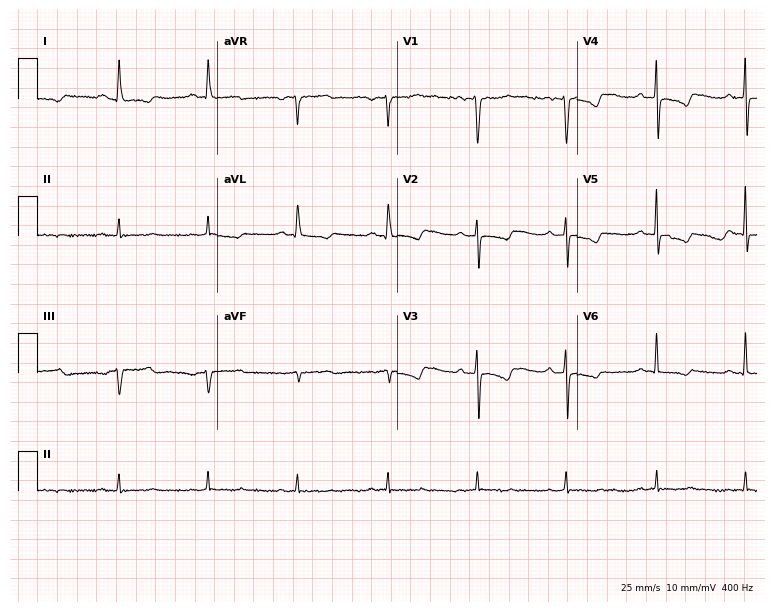
Standard 12-lead ECG recorded from a 78-year-old male patient (7.3-second recording at 400 Hz). None of these six findings is recorded: first-degree AV block, right bundle branch block (RBBB), left bundle branch block (LBBB), sinus bradycardia, atrial fibrillation (AF), sinus tachycardia. Findings outside these six are not listed.